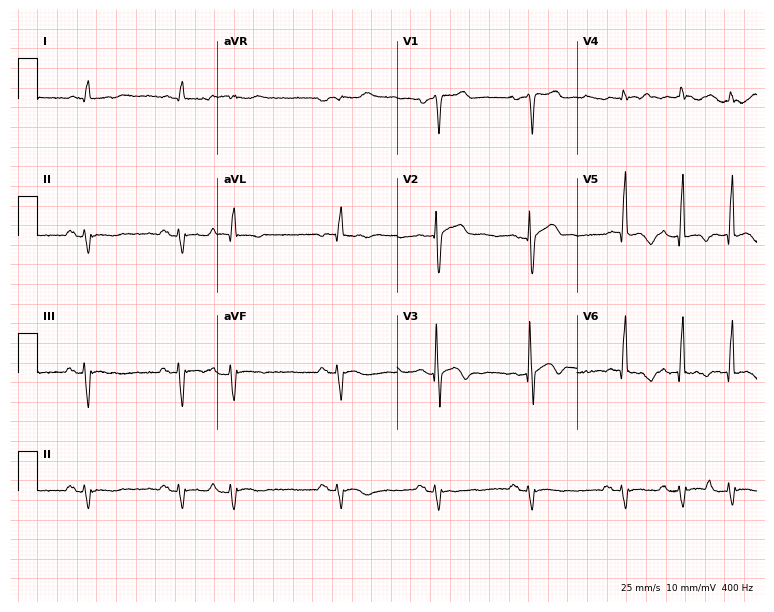
Resting 12-lead electrocardiogram. Patient: an 84-year-old male. Read as a normal ECG.